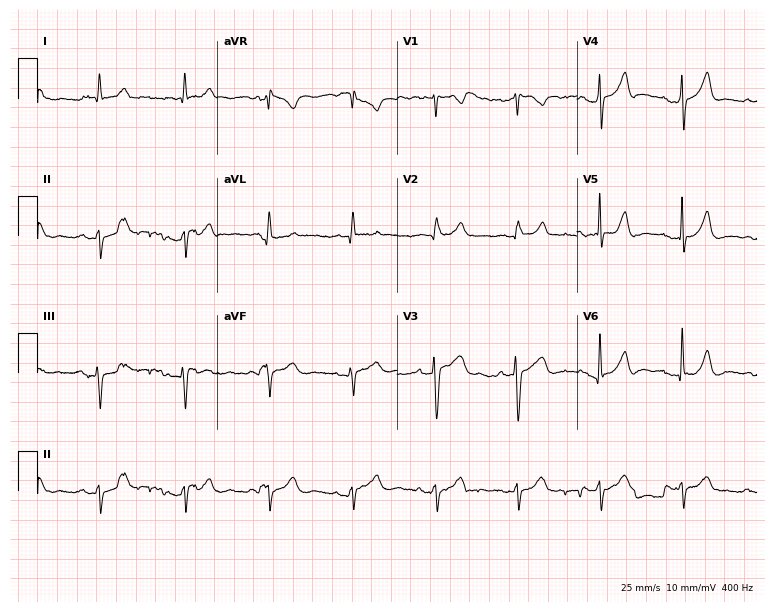
Electrocardiogram (7.3-second recording at 400 Hz), a male patient, 62 years old. Of the six screened findings (first-degree AV block, right bundle branch block, left bundle branch block, sinus bradycardia, atrial fibrillation, sinus tachycardia), none is recorded.